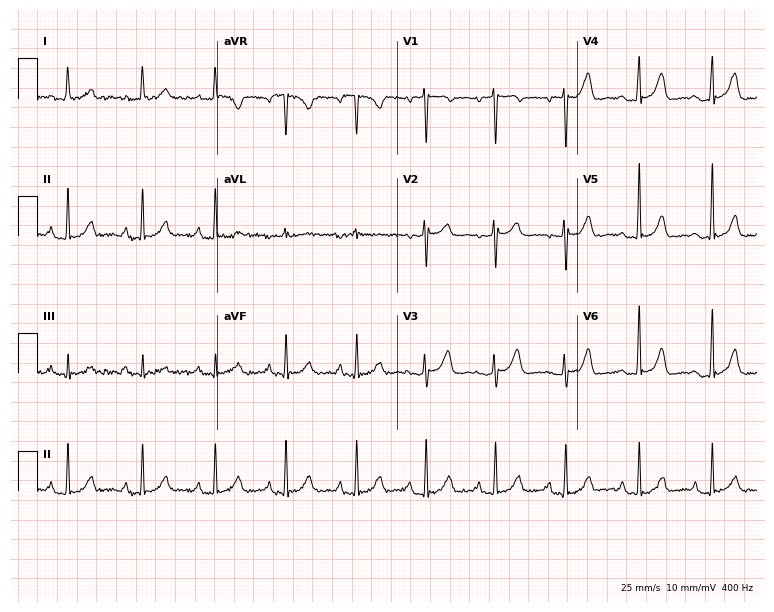
12-lead ECG from a 37-year-old female patient. Labelled as a normal ECG.